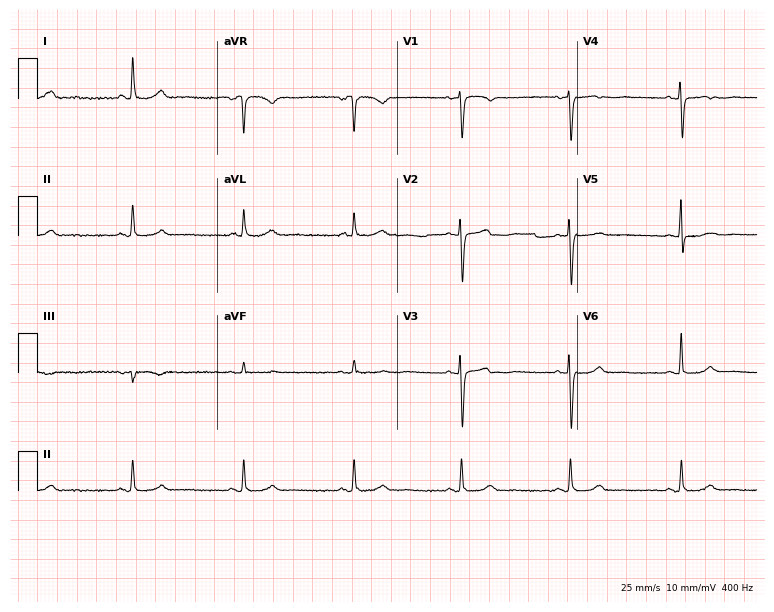
Resting 12-lead electrocardiogram (7.3-second recording at 400 Hz). Patient: a 67-year-old female. None of these six findings is recorded: first-degree AV block, right bundle branch block, left bundle branch block, sinus bradycardia, atrial fibrillation, sinus tachycardia. Other findings, if any, are not listed.